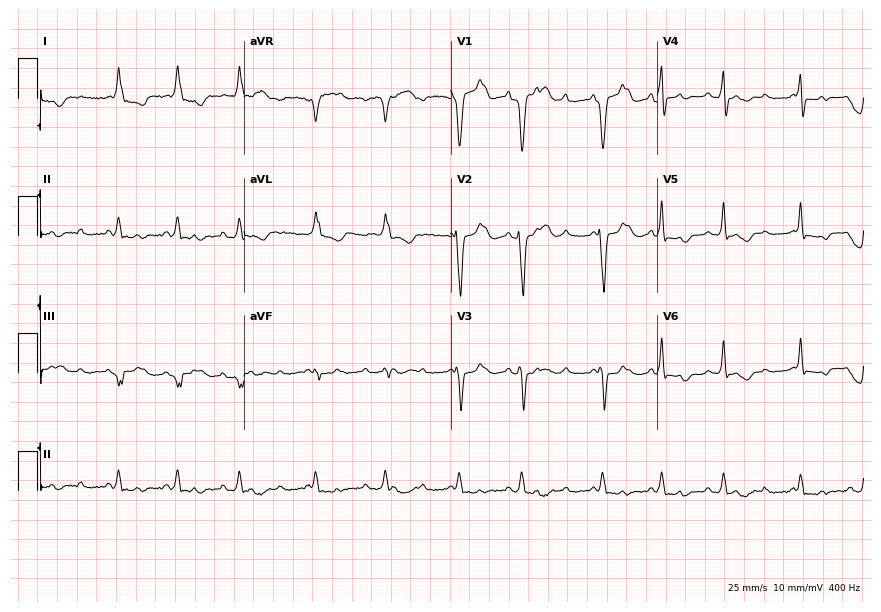
12-lead ECG from a female, 85 years old. No first-degree AV block, right bundle branch block (RBBB), left bundle branch block (LBBB), sinus bradycardia, atrial fibrillation (AF) or sinus tachycardia recorded for this tracing.